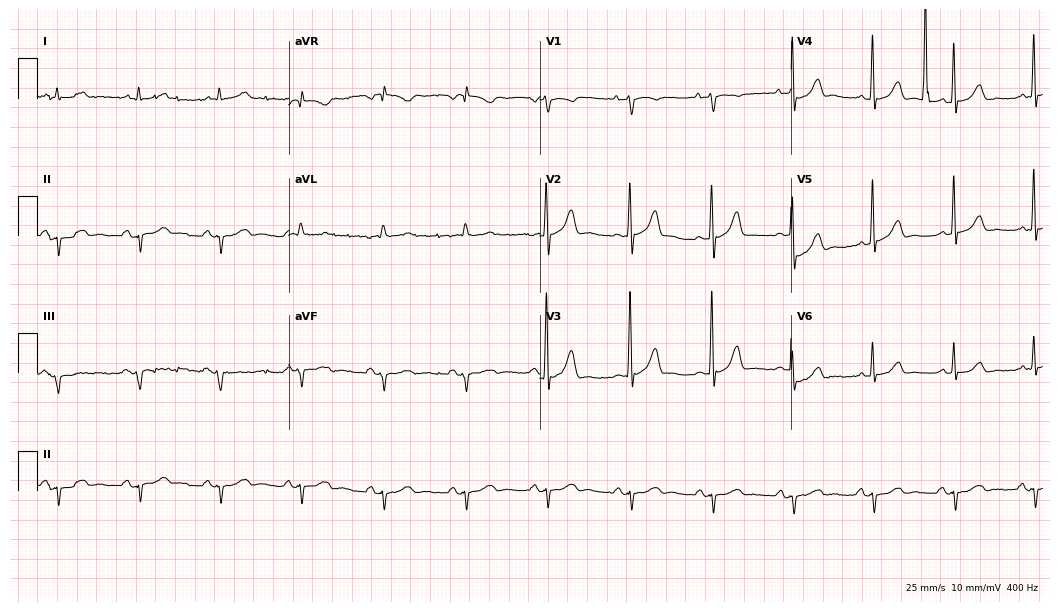
Electrocardiogram (10.2-second recording at 400 Hz), a male, 83 years old. Of the six screened findings (first-degree AV block, right bundle branch block, left bundle branch block, sinus bradycardia, atrial fibrillation, sinus tachycardia), none is recorded.